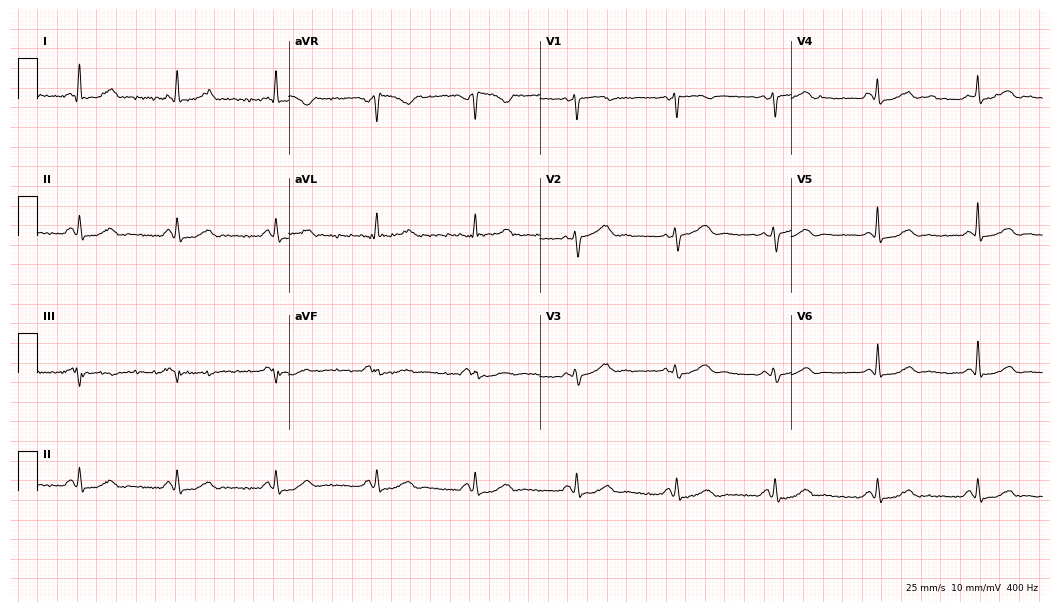
Standard 12-lead ECG recorded from a female, 39 years old (10.2-second recording at 400 Hz). Read as a normal ECG.